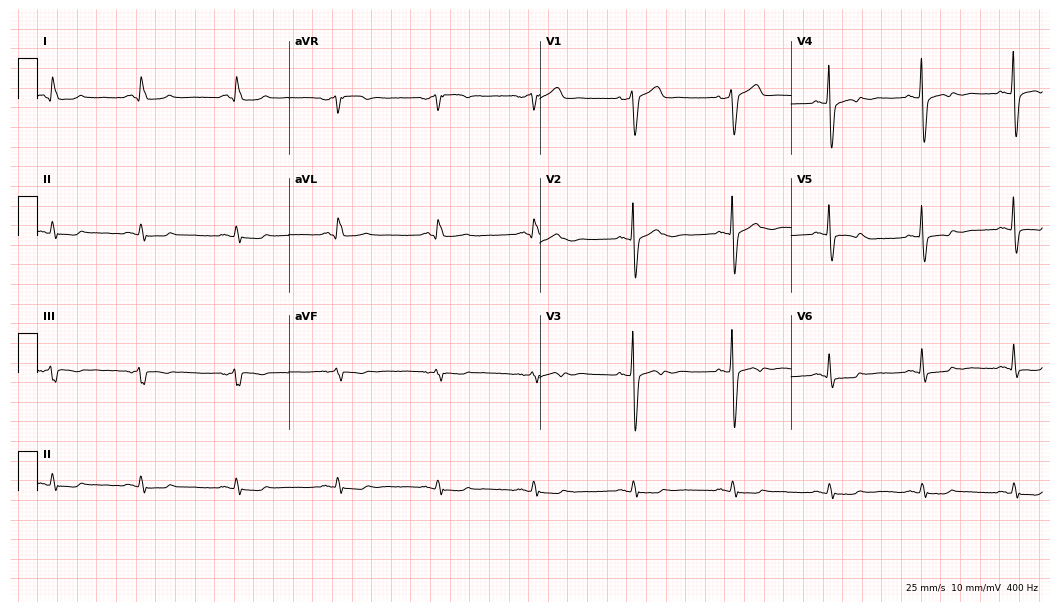
12-lead ECG from a 58-year-old man (10.2-second recording at 400 Hz). No first-degree AV block, right bundle branch block (RBBB), left bundle branch block (LBBB), sinus bradycardia, atrial fibrillation (AF) or sinus tachycardia recorded for this tracing.